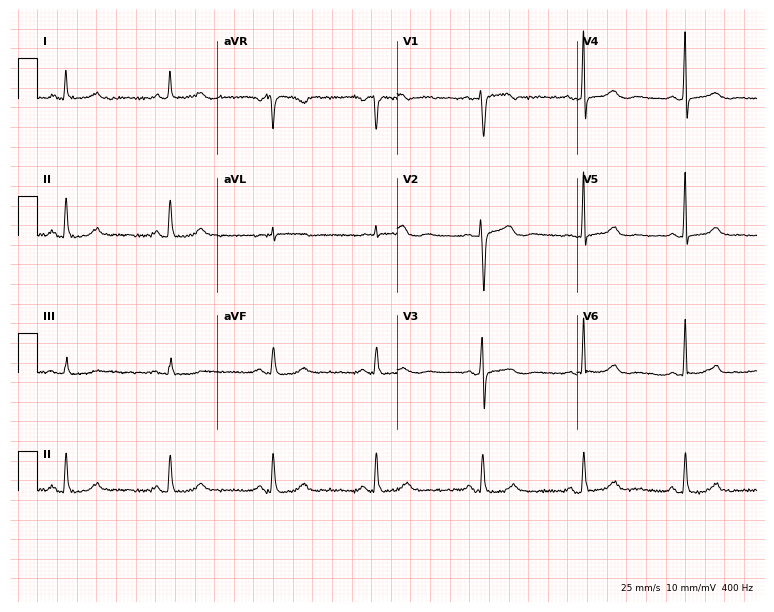
Resting 12-lead electrocardiogram. Patient: a woman, 60 years old. None of these six findings is recorded: first-degree AV block, right bundle branch block, left bundle branch block, sinus bradycardia, atrial fibrillation, sinus tachycardia. Other findings, if any, are not listed.